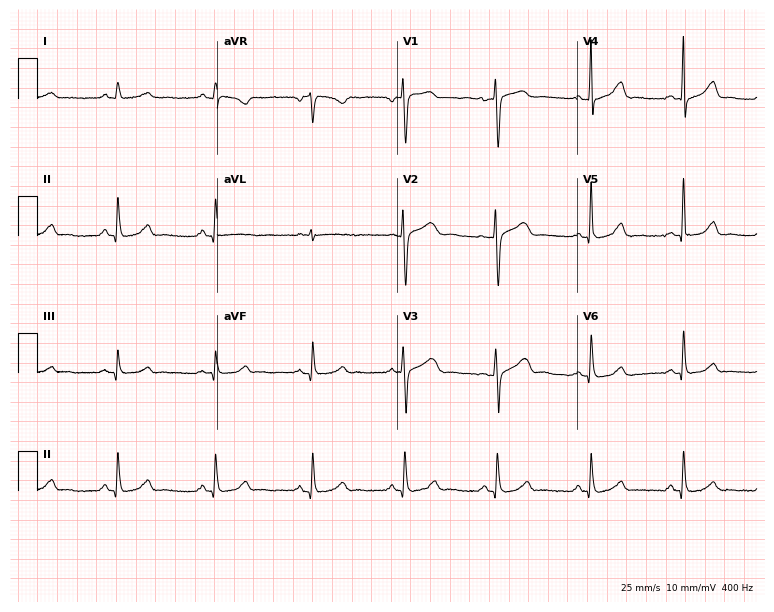
12-lead ECG from a female, 53 years old. Screened for six findings — first-degree AV block, right bundle branch block, left bundle branch block, sinus bradycardia, atrial fibrillation, sinus tachycardia — none is recorded.